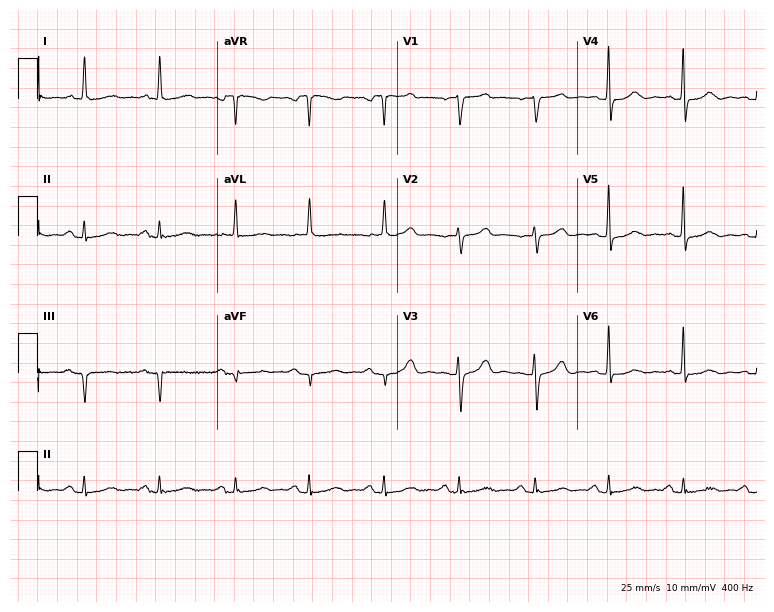
12-lead ECG (7.3-second recording at 400 Hz) from an 83-year-old woman. Screened for six findings — first-degree AV block, right bundle branch block, left bundle branch block, sinus bradycardia, atrial fibrillation, sinus tachycardia — none is recorded.